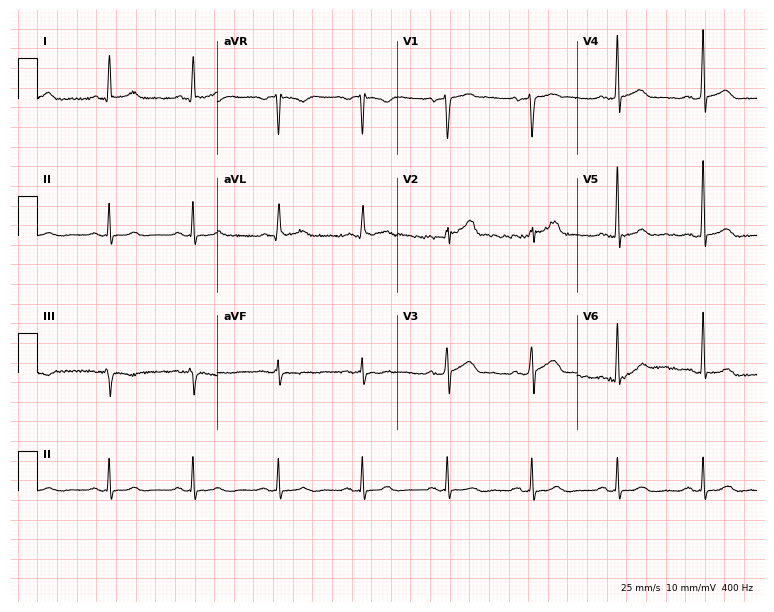
Resting 12-lead electrocardiogram (7.3-second recording at 400 Hz). Patient: a male, 63 years old. Read as a normal ECG.